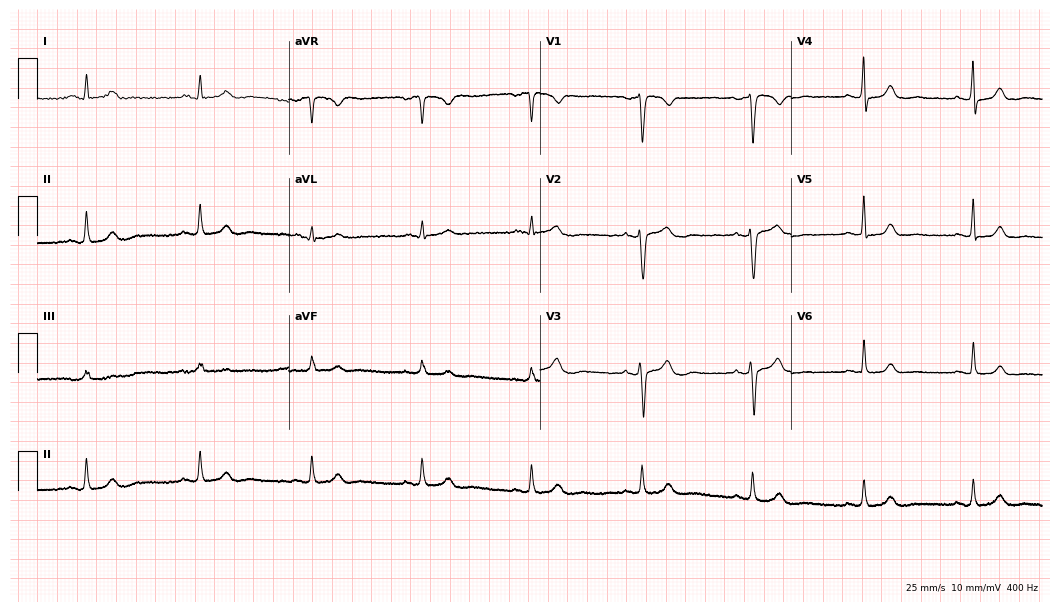
ECG (10.2-second recording at 400 Hz) — a female patient, 50 years old. Labelled as a normal ECG.